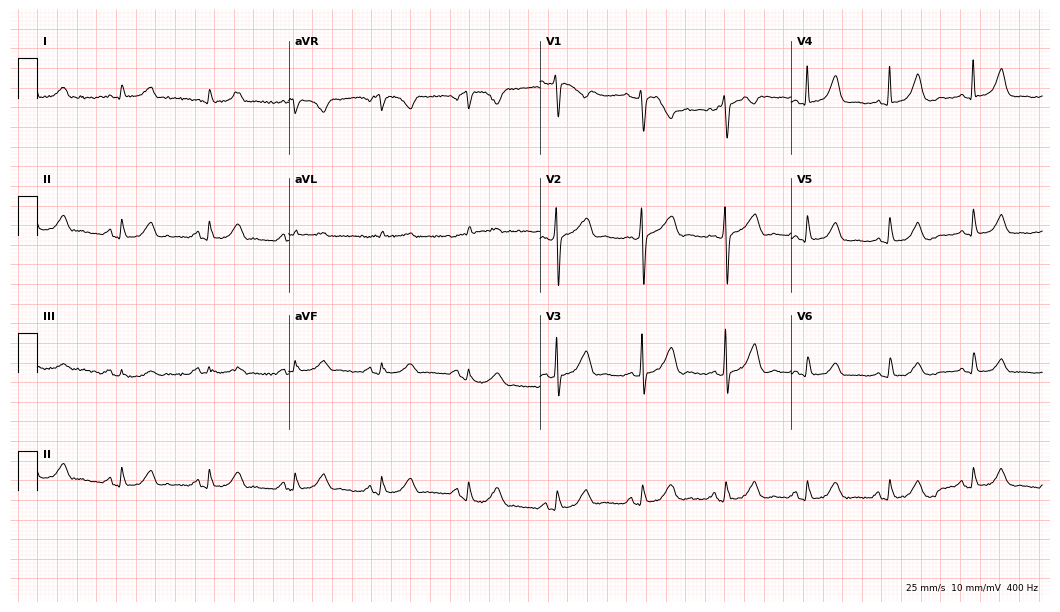
Standard 12-lead ECG recorded from a female, 53 years old. Read as a normal ECG.